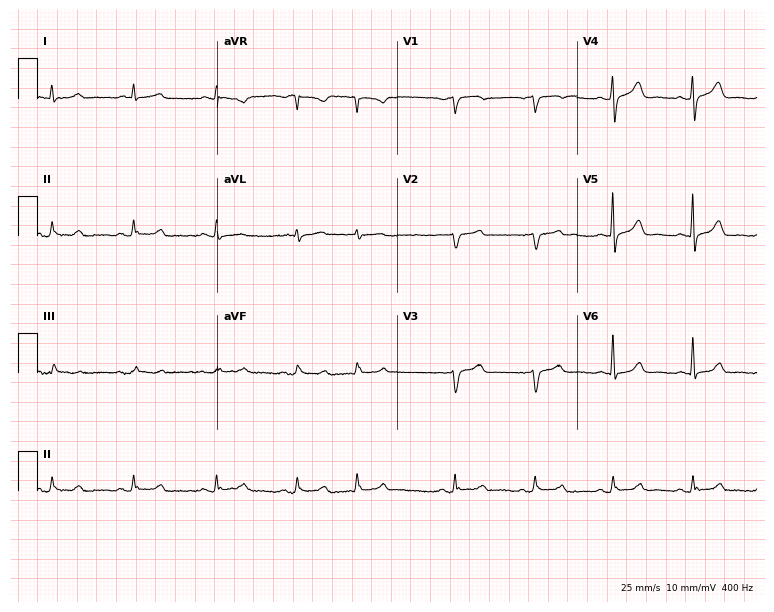
Resting 12-lead electrocardiogram (7.3-second recording at 400 Hz). Patient: a man, 81 years old. Read as a normal ECG.